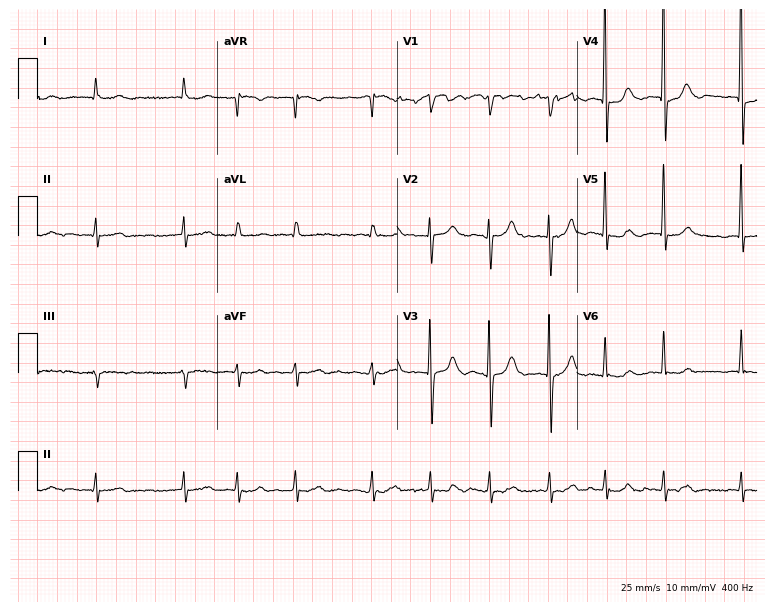
12-lead ECG (7.3-second recording at 400 Hz) from an 80-year-old male patient. Screened for six findings — first-degree AV block, right bundle branch block (RBBB), left bundle branch block (LBBB), sinus bradycardia, atrial fibrillation (AF), sinus tachycardia — none is recorded.